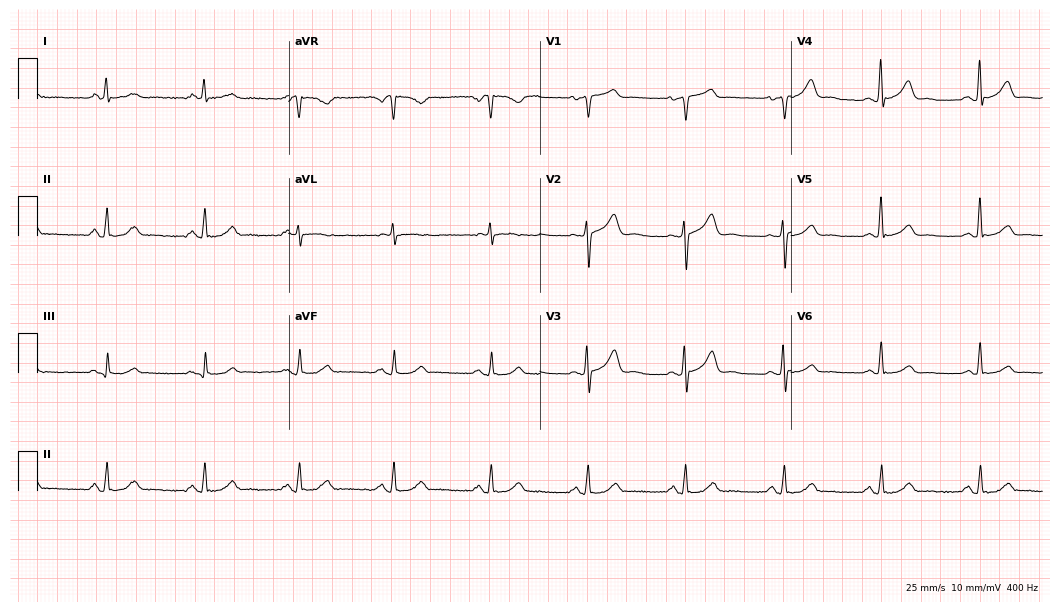
Standard 12-lead ECG recorded from a 60-year-old female patient. Read as a normal ECG.